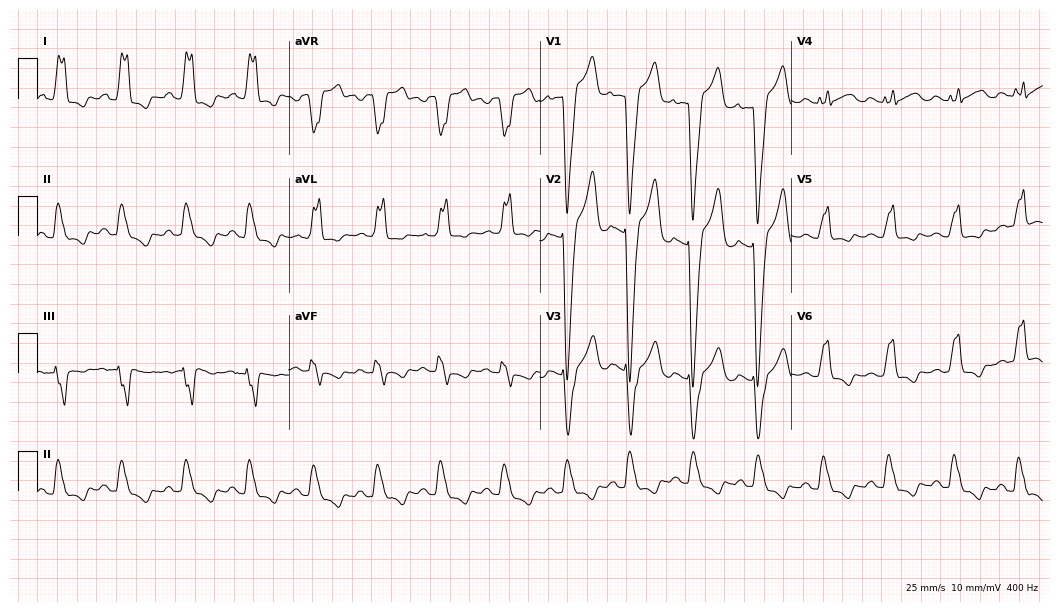
Standard 12-lead ECG recorded from a female, 34 years old. The tracing shows left bundle branch block.